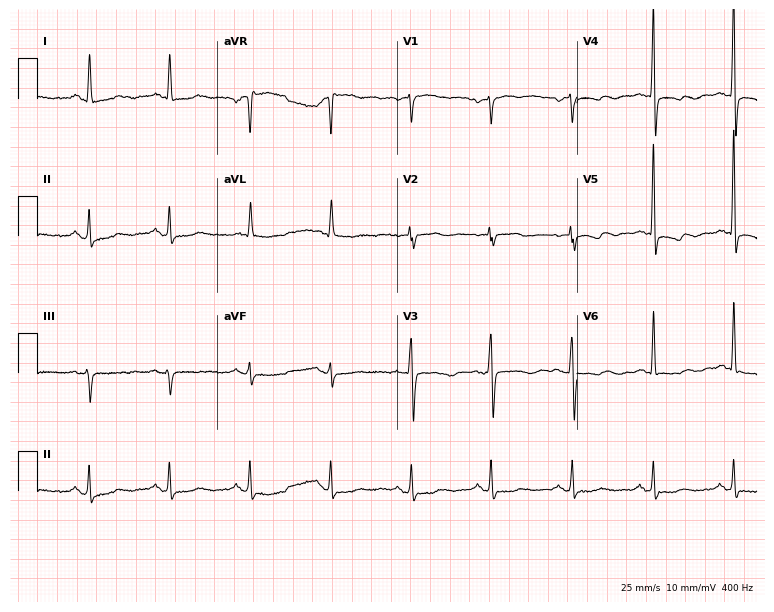
Electrocardiogram (7.3-second recording at 400 Hz), a 69-year-old female. Of the six screened findings (first-degree AV block, right bundle branch block, left bundle branch block, sinus bradycardia, atrial fibrillation, sinus tachycardia), none is recorded. Findings outside these six are not listed.